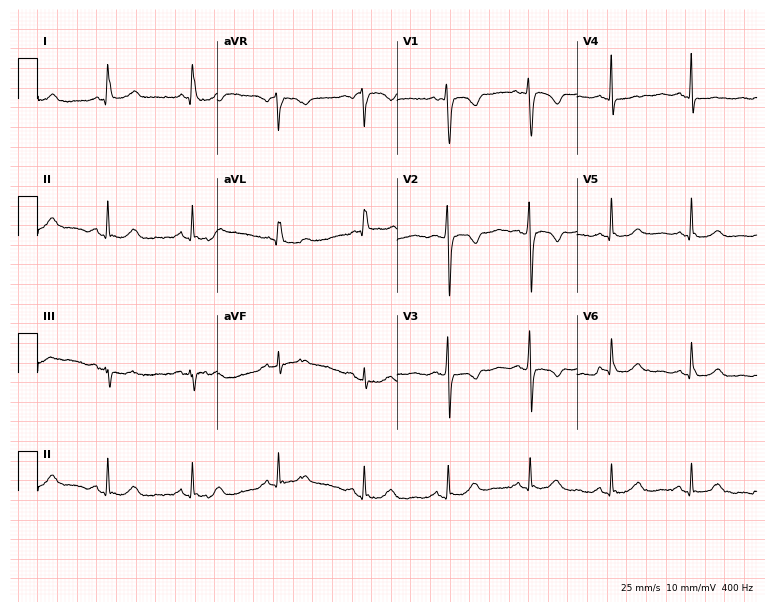
12-lead ECG from a woman, 62 years old. Labelled as a normal ECG.